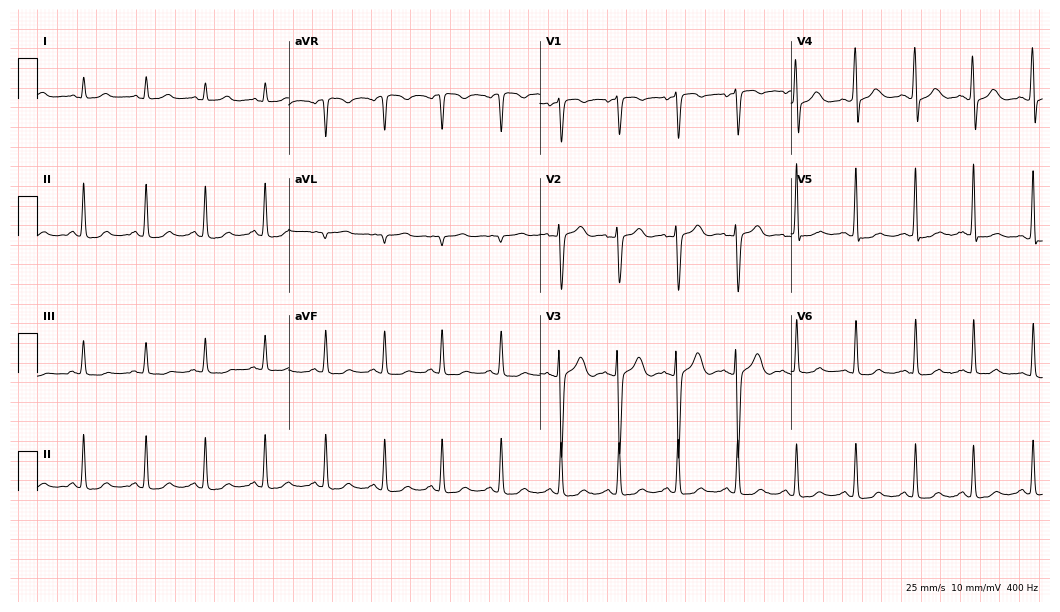
ECG (10.2-second recording at 400 Hz) — a female patient, 21 years old. Screened for six findings — first-degree AV block, right bundle branch block, left bundle branch block, sinus bradycardia, atrial fibrillation, sinus tachycardia — none is recorded. Other findings, if any, are not listed.